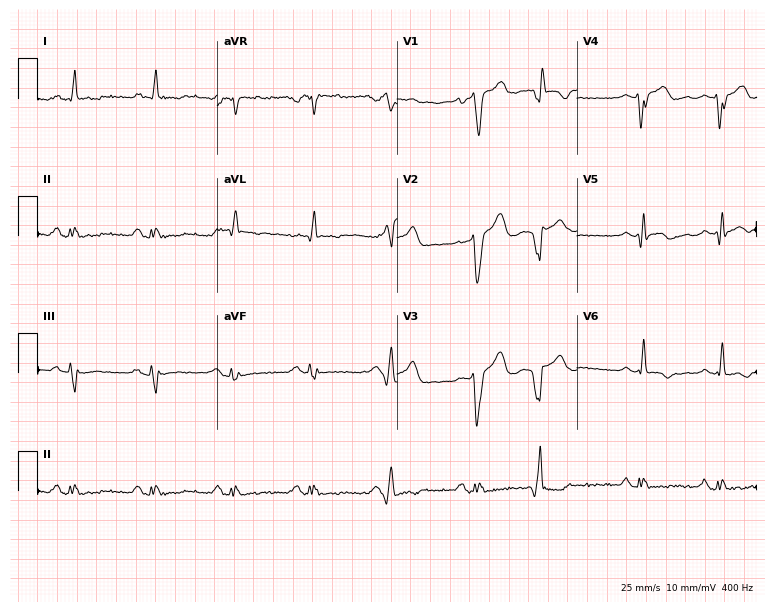
Standard 12-lead ECG recorded from a 45-year-old woman (7.3-second recording at 400 Hz). None of these six findings is recorded: first-degree AV block, right bundle branch block (RBBB), left bundle branch block (LBBB), sinus bradycardia, atrial fibrillation (AF), sinus tachycardia. Other findings, if any, are not listed.